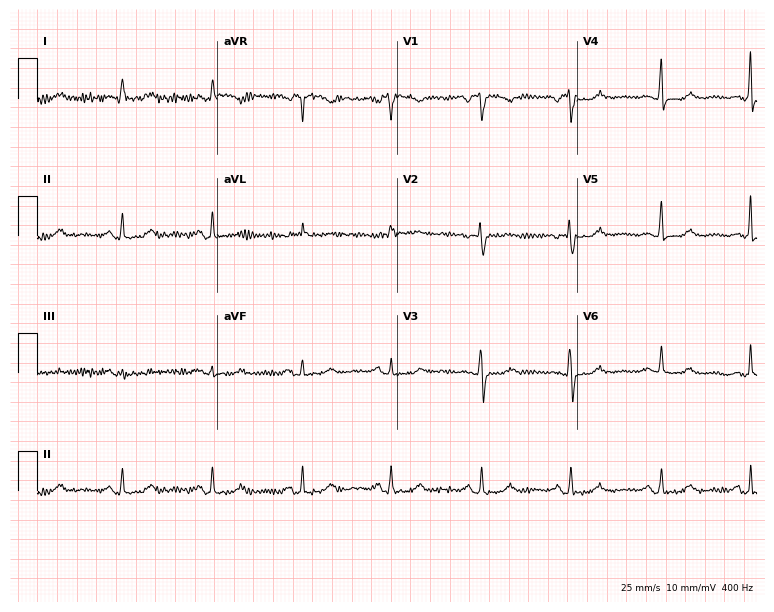
Resting 12-lead electrocardiogram. Patient: a woman, 43 years old. None of these six findings is recorded: first-degree AV block, right bundle branch block, left bundle branch block, sinus bradycardia, atrial fibrillation, sinus tachycardia.